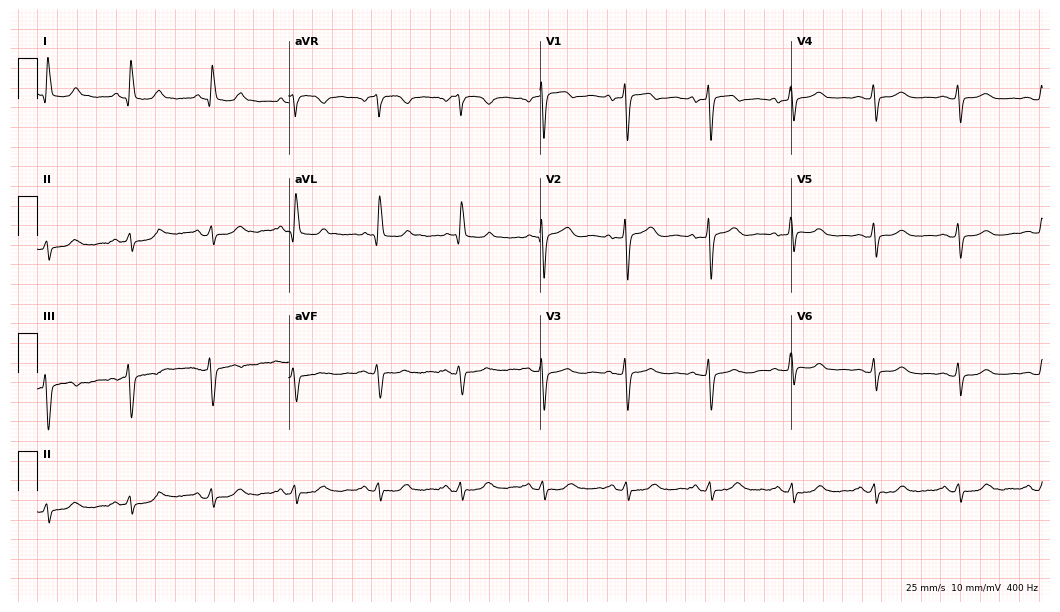
12-lead ECG from an 84-year-old woman. Screened for six findings — first-degree AV block, right bundle branch block, left bundle branch block, sinus bradycardia, atrial fibrillation, sinus tachycardia — none is recorded.